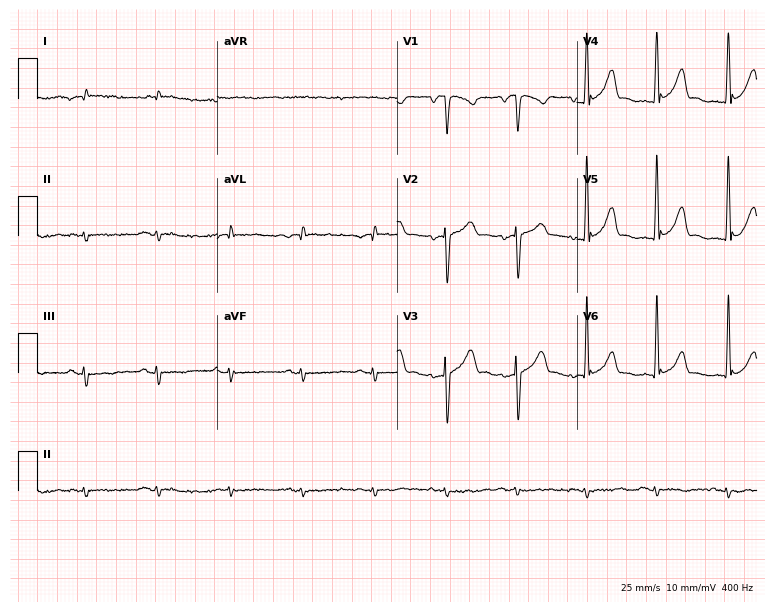
Resting 12-lead electrocardiogram (7.3-second recording at 400 Hz). Patient: a 47-year-old male. None of these six findings is recorded: first-degree AV block, right bundle branch block, left bundle branch block, sinus bradycardia, atrial fibrillation, sinus tachycardia. Findings outside these six are not listed.